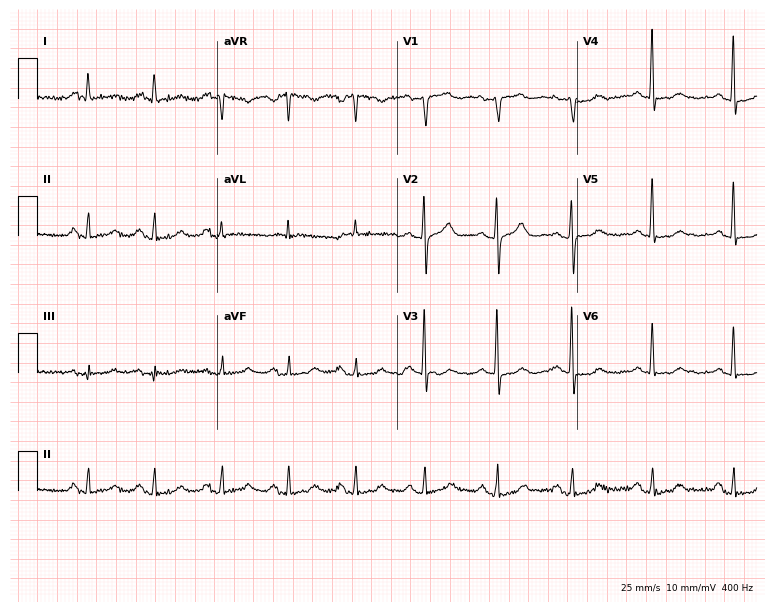
12-lead ECG (7.3-second recording at 400 Hz) from a female patient, 69 years old. Screened for six findings — first-degree AV block, right bundle branch block, left bundle branch block, sinus bradycardia, atrial fibrillation, sinus tachycardia — none is recorded.